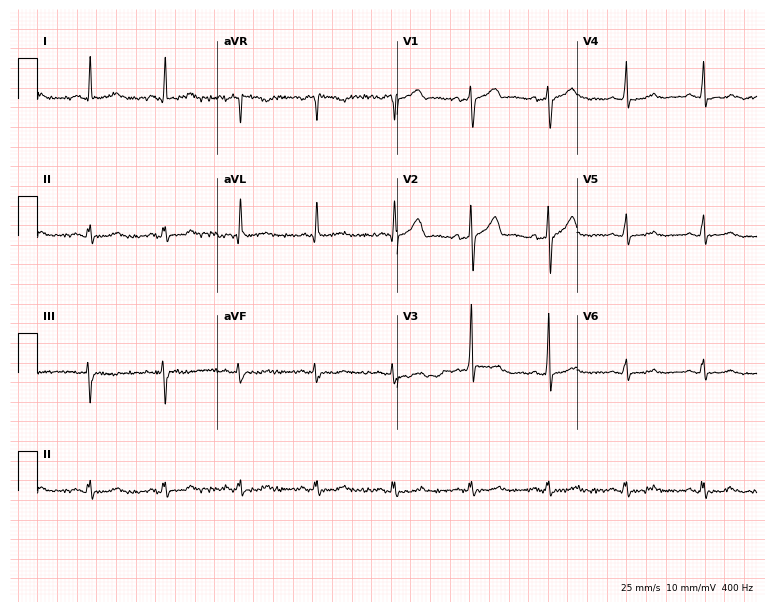
12-lead ECG from a man, 58 years old (7.3-second recording at 400 Hz). No first-degree AV block, right bundle branch block (RBBB), left bundle branch block (LBBB), sinus bradycardia, atrial fibrillation (AF) or sinus tachycardia recorded for this tracing. Other findings, if any, are not listed.